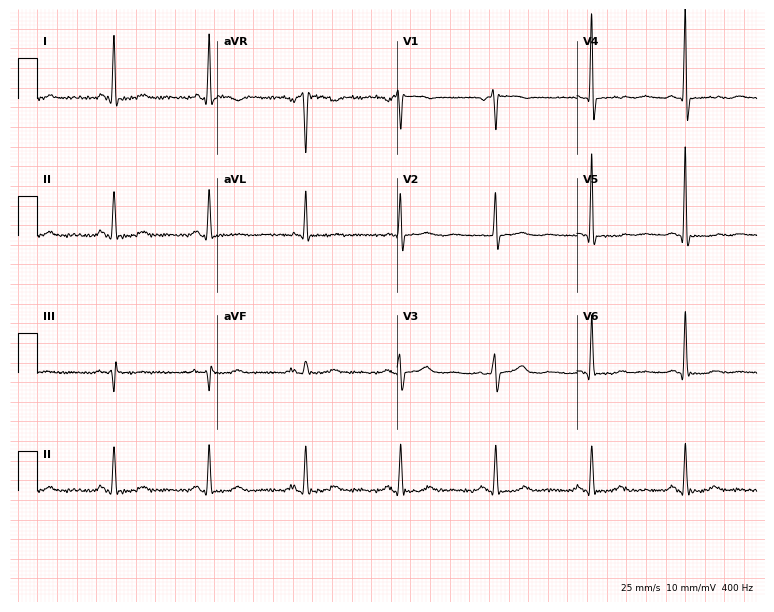
12-lead ECG from a female, 71 years old. No first-degree AV block, right bundle branch block (RBBB), left bundle branch block (LBBB), sinus bradycardia, atrial fibrillation (AF) or sinus tachycardia recorded for this tracing. Only these six findings were labelled.